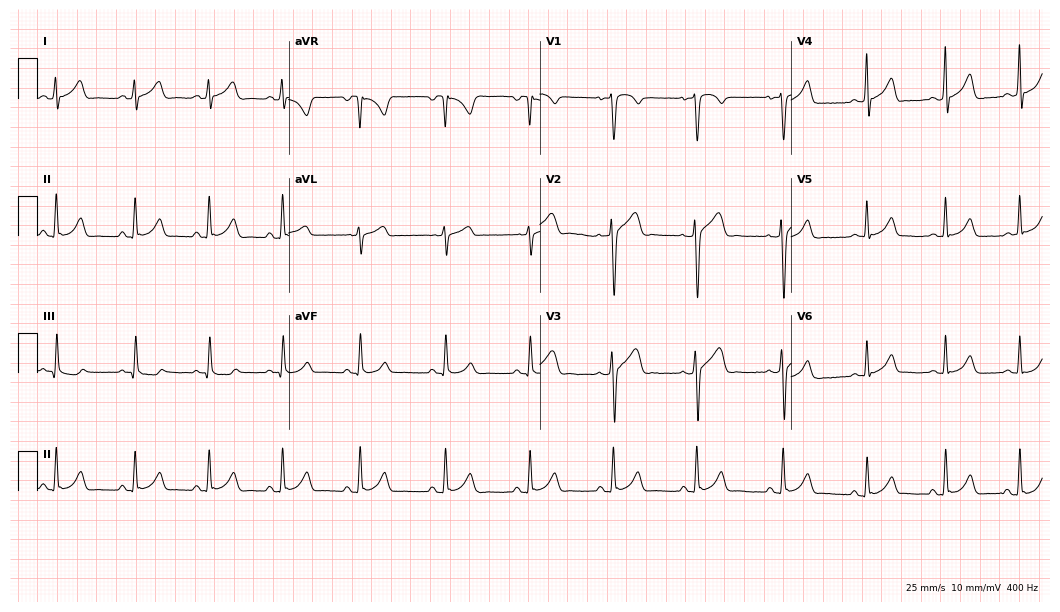
Electrocardiogram (10.2-second recording at 400 Hz), a male patient, 25 years old. Overall reading on record: normal ECG.